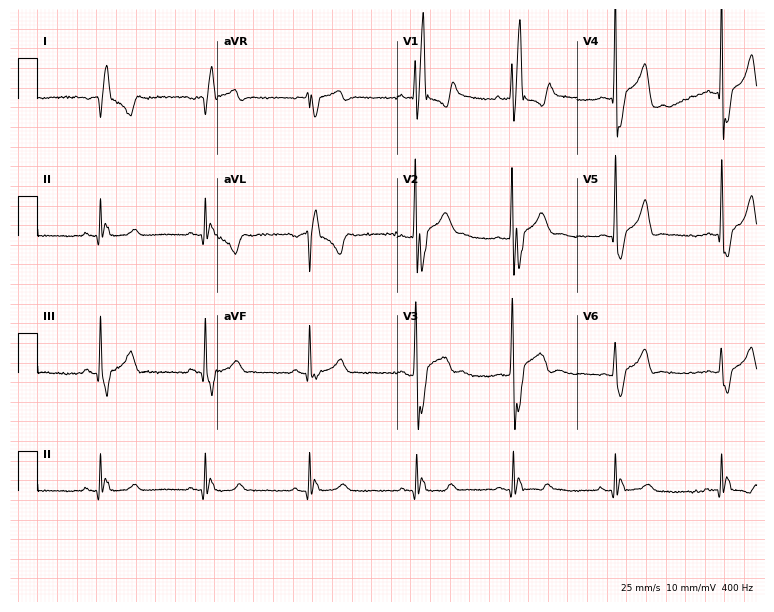
ECG (7.3-second recording at 400 Hz) — a 19-year-old male patient. Screened for six findings — first-degree AV block, right bundle branch block (RBBB), left bundle branch block (LBBB), sinus bradycardia, atrial fibrillation (AF), sinus tachycardia — none is recorded. Other findings, if any, are not listed.